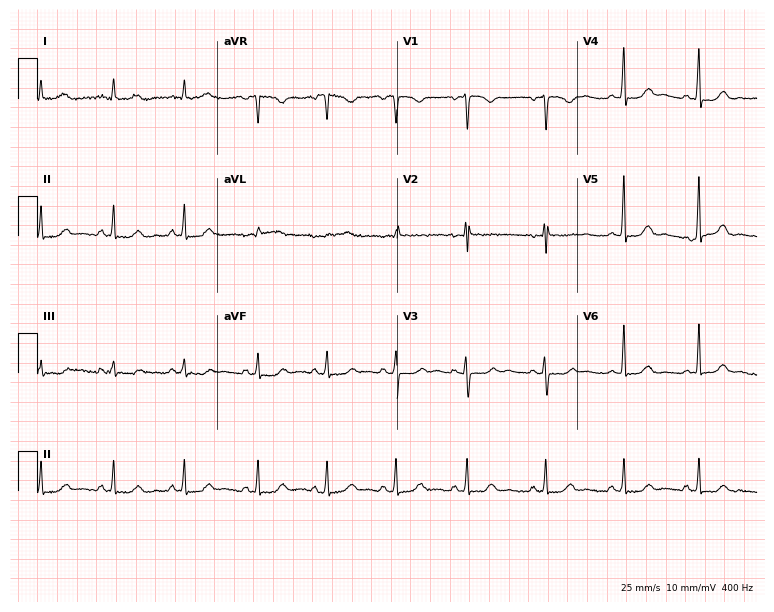
Resting 12-lead electrocardiogram (7.3-second recording at 400 Hz). Patient: a female, 28 years old. Read as a normal ECG.